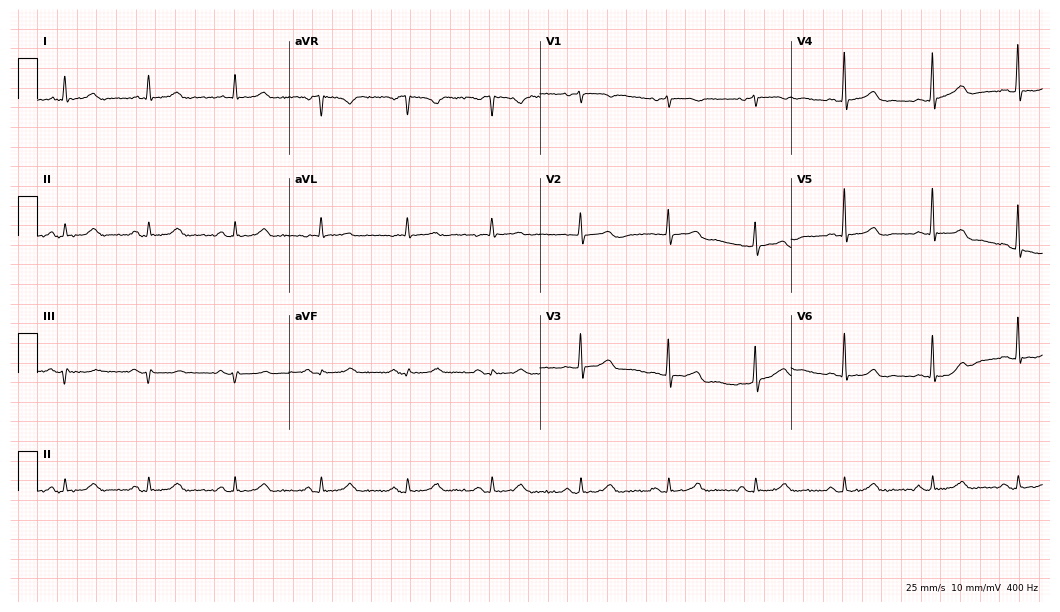
ECG — a man, 71 years old. Labelled as a normal ECG.